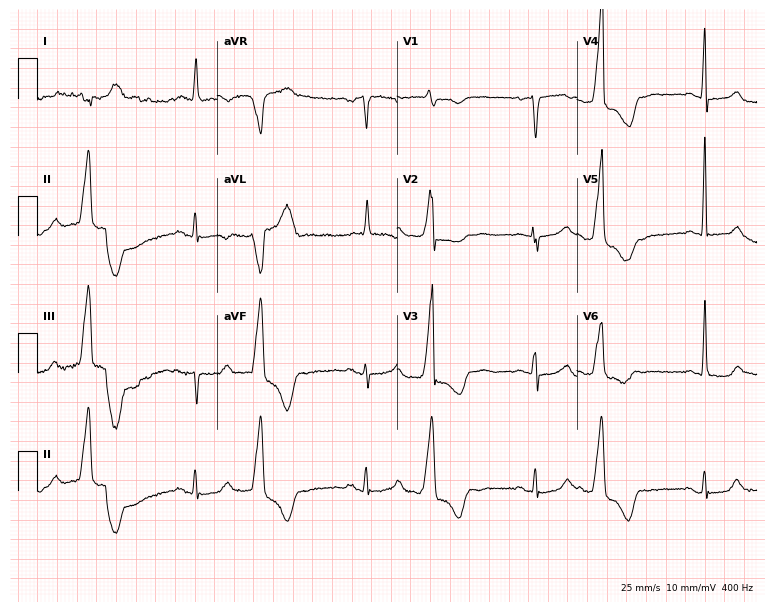
Resting 12-lead electrocardiogram. Patient: a female, 67 years old. None of these six findings is recorded: first-degree AV block, right bundle branch block, left bundle branch block, sinus bradycardia, atrial fibrillation, sinus tachycardia. Other findings, if any, are not listed.